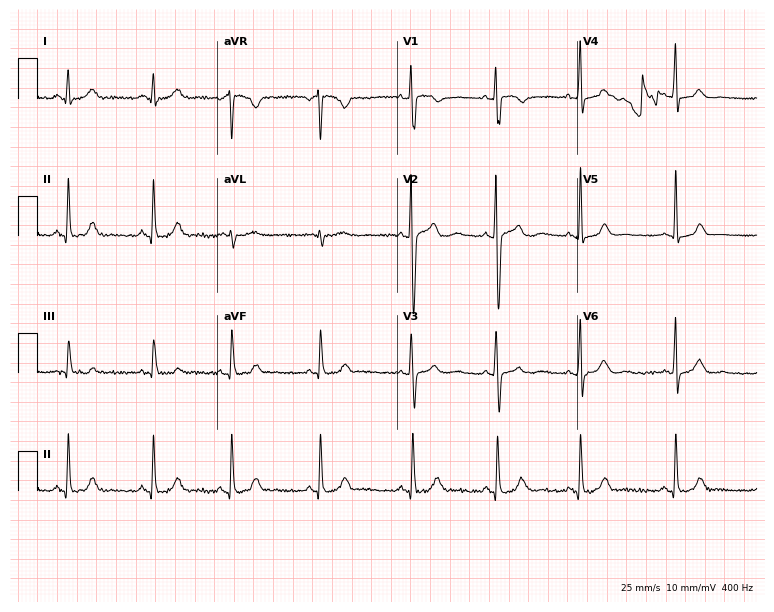
ECG (7.3-second recording at 400 Hz) — a 17-year-old female patient. Labelled as a normal ECG.